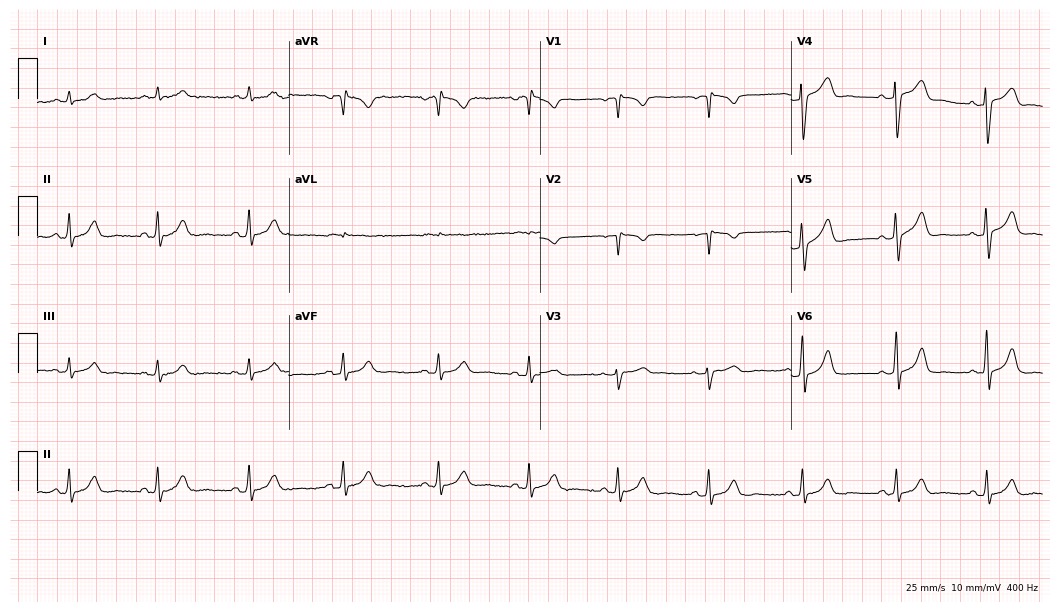
Standard 12-lead ECG recorded from a male, 65 years old. None of these six findings is recorded: first-degree AV block, right bundle branch block (RBBB), left bundle branch block (LBBB), sinus bradycardia, atrial fibrillation (AF), sinus tachycardia.